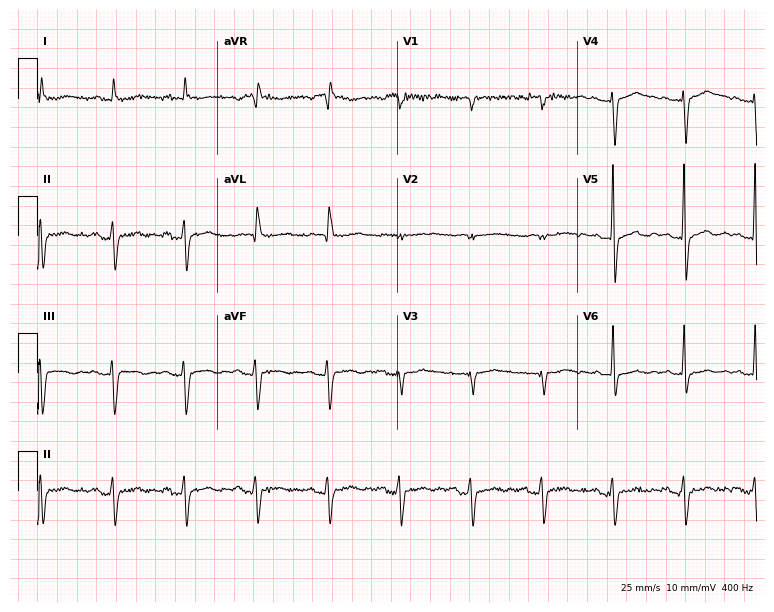
Electrocardiogram, an 83-year-old man. Of the six screened findings (first-degree AV block, right bundle branch block (RBBB), left bundle branch block (LBBB), sinus bradycardia, atrial fibrillation (AF), sinus tachycardia), none is recorded.